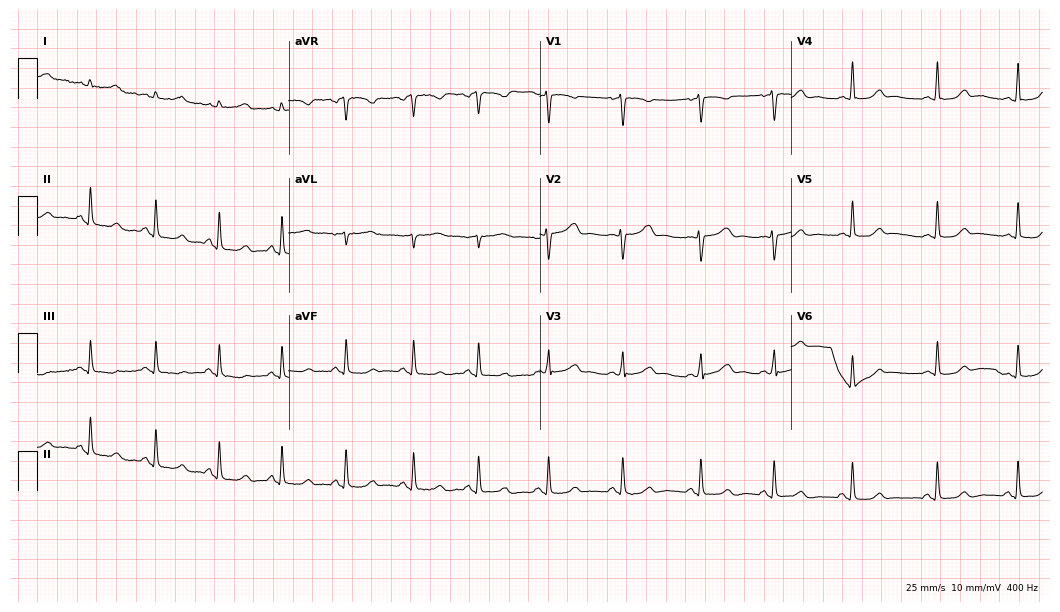
Resting 12-lead electrocardiogram (10.2-second recording at 400 Hz). Patient: a female, 18 years old. Read as a normal ECG.